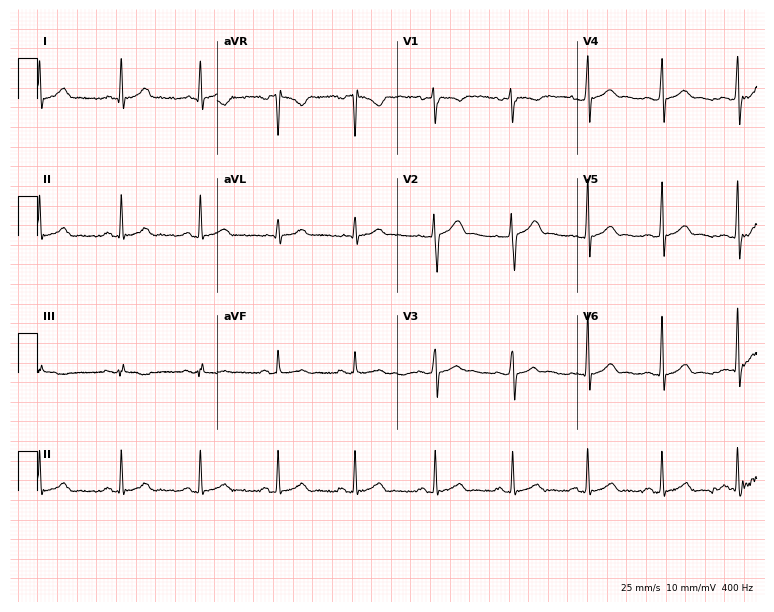
12-lead ECG from a 28-year-old man (7.3-second recording at 400 Hz). Recorded interpretation: within normal limits.